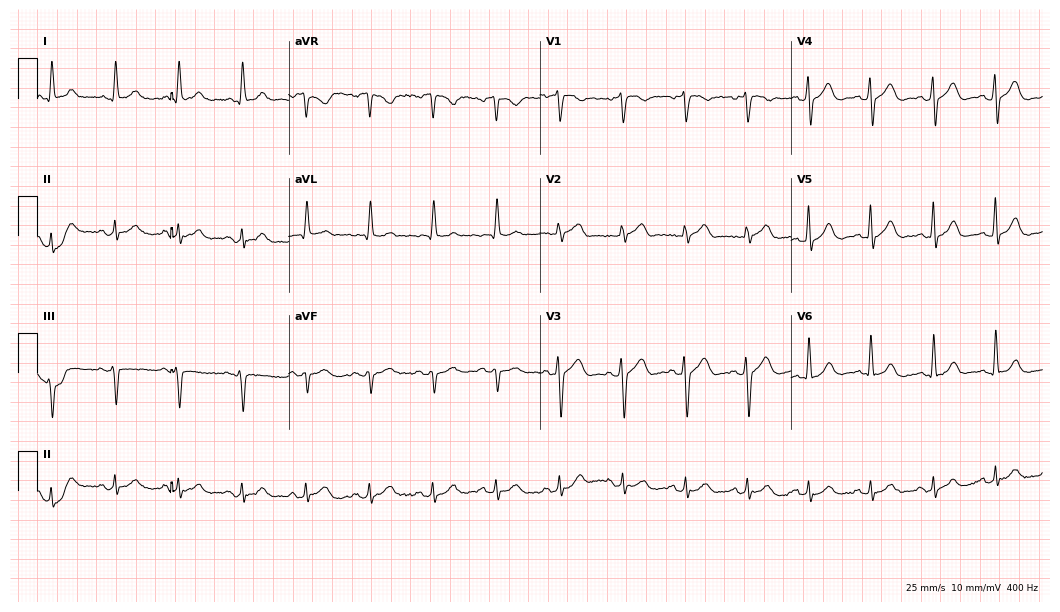
Resting 12-lead electrocardiogram (10.2-second recording at 400 Hz). Patient: a male, 84 years old. None of these six findings is recorded: first-degree AV block, right bundle branch block, left bundle branch block, sinus bradycardia, atrial fibrillation, sinus tachycardia.